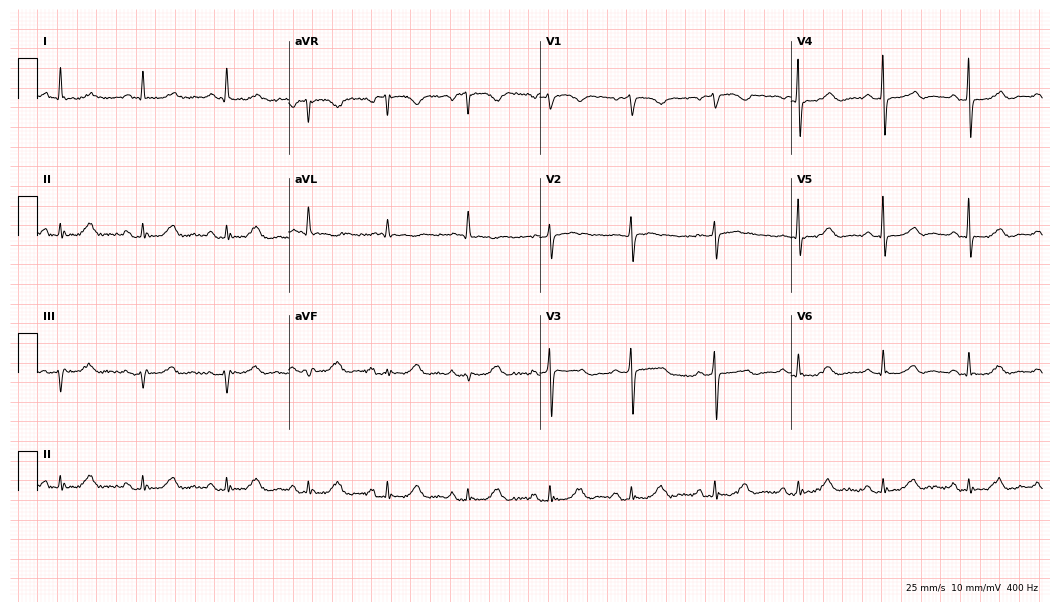
ECG (10.2-second recording at 400 Hz) — a 73-year-old female patient. Labelled as a normal ECG.